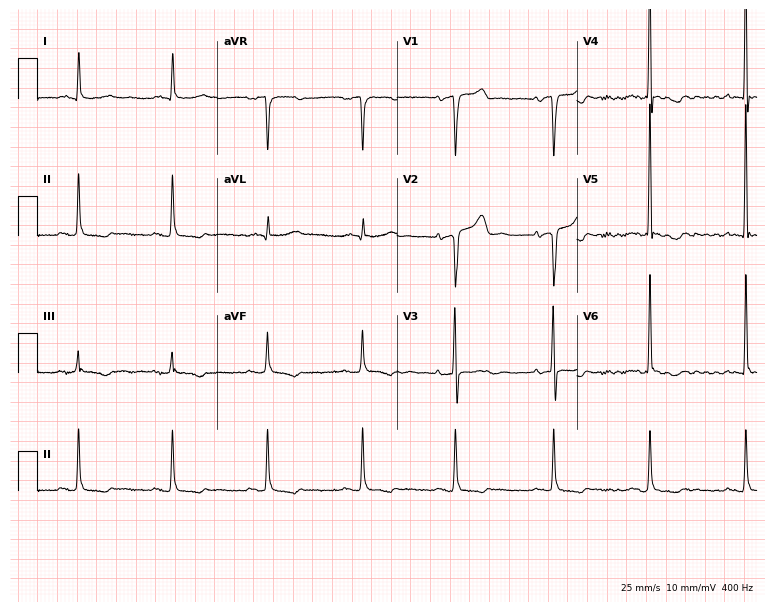
12-lead ECG from a female, 65 years old. Labelled as a normal ECG.